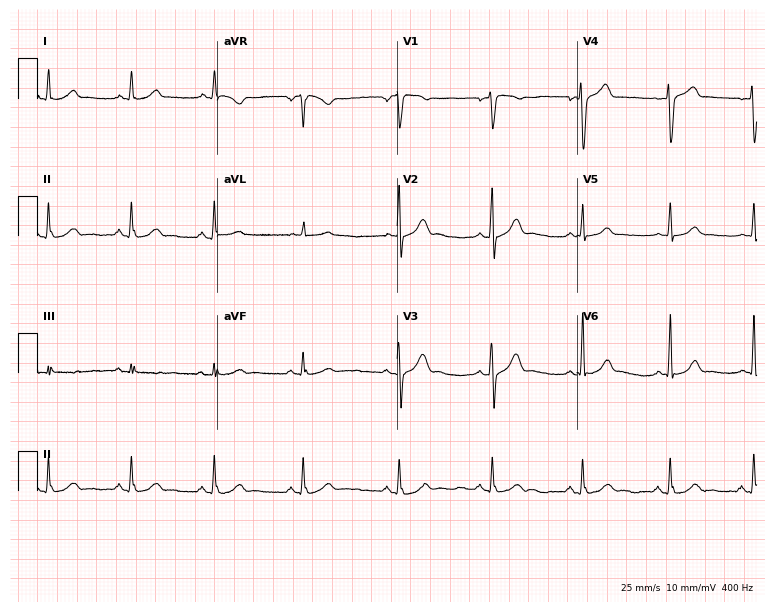
Electrocardiogram, a male, 34 years old. Of the six screened findings (first-degree AV block, right bundle branch block (RBBB), left bundle branch block (LBBB), sinus bradycardia, atrial fibrillation (AF), sinus tachycardia), none is recorded.